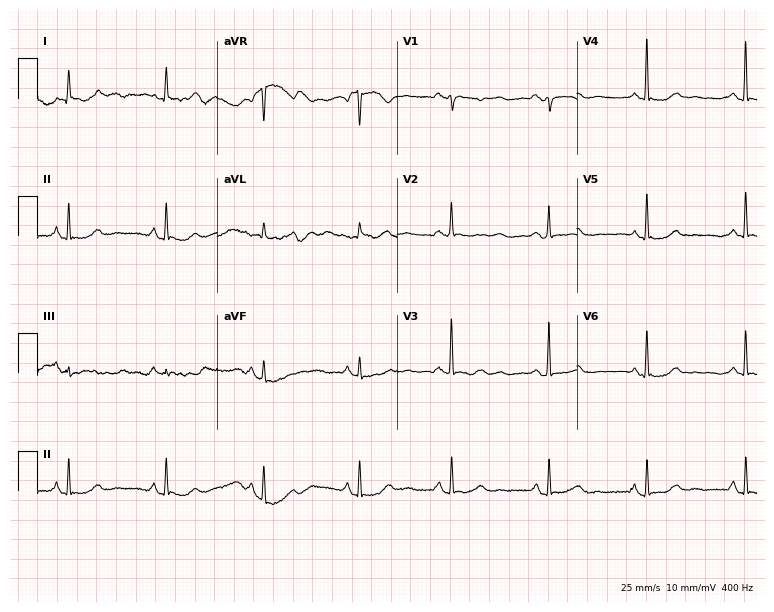
ECG (7.3-second recording at 400 Hz) — a female, 73 years old. Screened for six findings — first-degree AV block, right bundle branch block, left bundle branch block, sinus bradycardia, atrial fibrillation, sinus tachycardia — none is recorded.